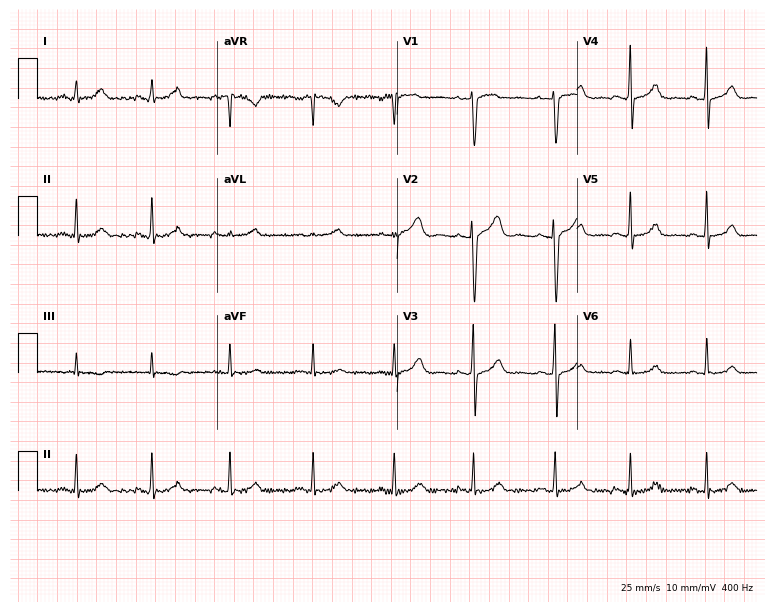
12-lead ECG from a female patient, 32 years old (7.3-second recording at 400 Hz). Recorded interpretation: within normal limits.